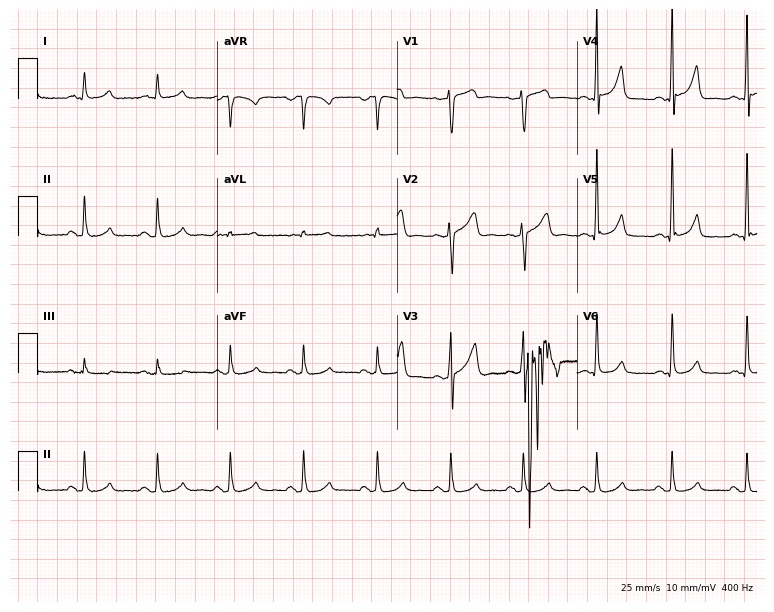
ECG (7.3-second recording at 400 Hz) — a male, 44 years old. Screened for six findings — first-degree AV block, right bundle branch block (RBBB), left bundle branch block (LBBB), sinus bradycardia, atrial fibrillation (AF), sinus tachycardia — none is recorded. Only these six findings were labelled.